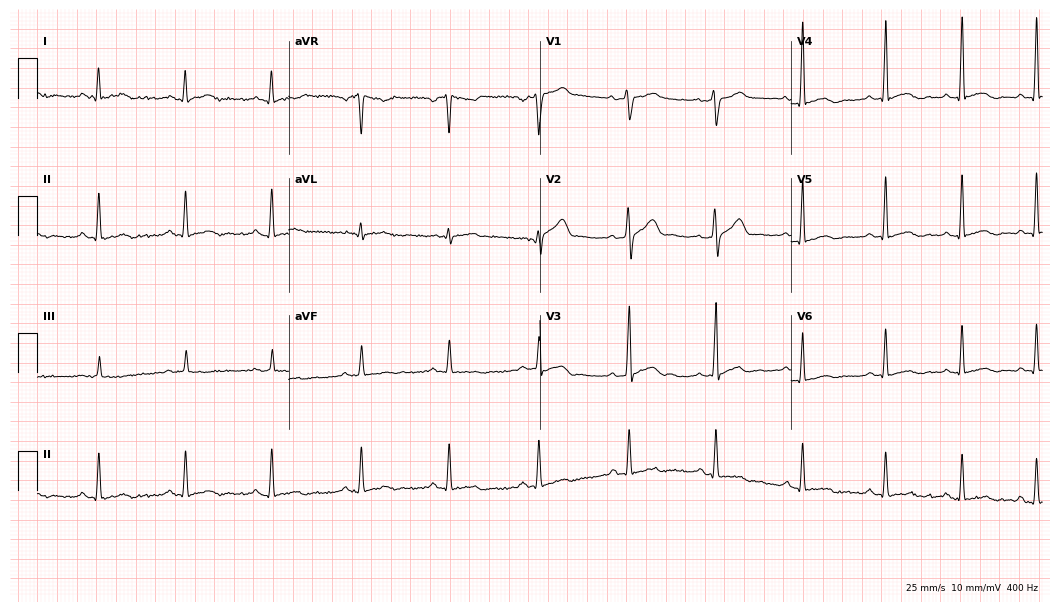
Standard 12-lead ECG recorded from a 47-year-old man (10.2-second recording at 400 Hz). None of these six findings is recorded: first-degree AV block, right bundle branch block, left bundle branch block, sinus bradycardia, atrial fibrillation, sinus tachycardia. Other findings, if any, are not listed.